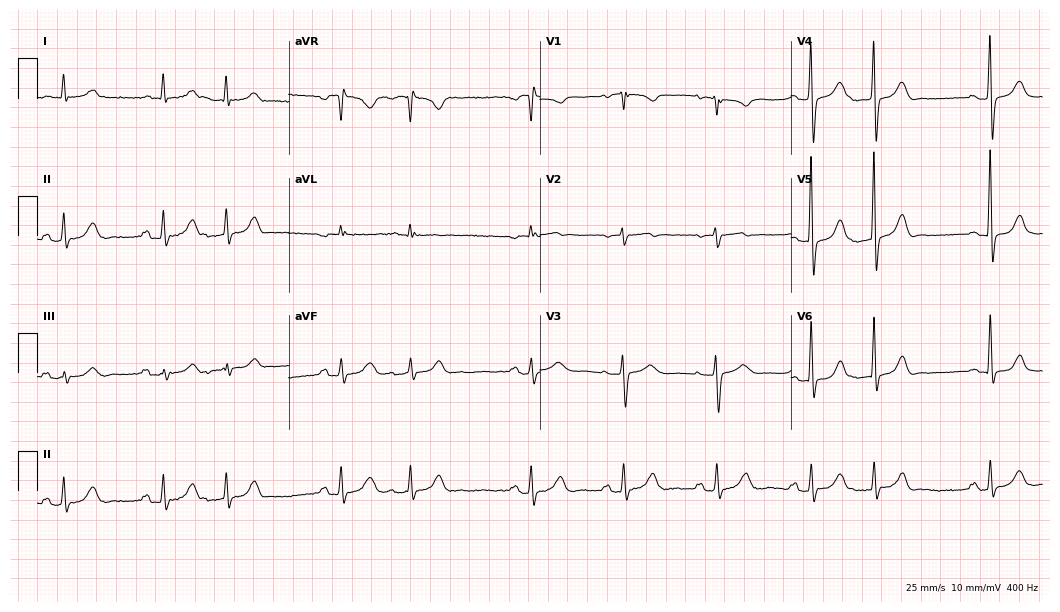
ECG — a 73-year-old female. Screened for six findings — first-degree AV block, right bundle branch block (RBBB), left bundle branch block (LBBB), sinus bradycardia, atrial fibrillation (AF), sinus tachycardia — none is recorded. Only these six findings were labelled.